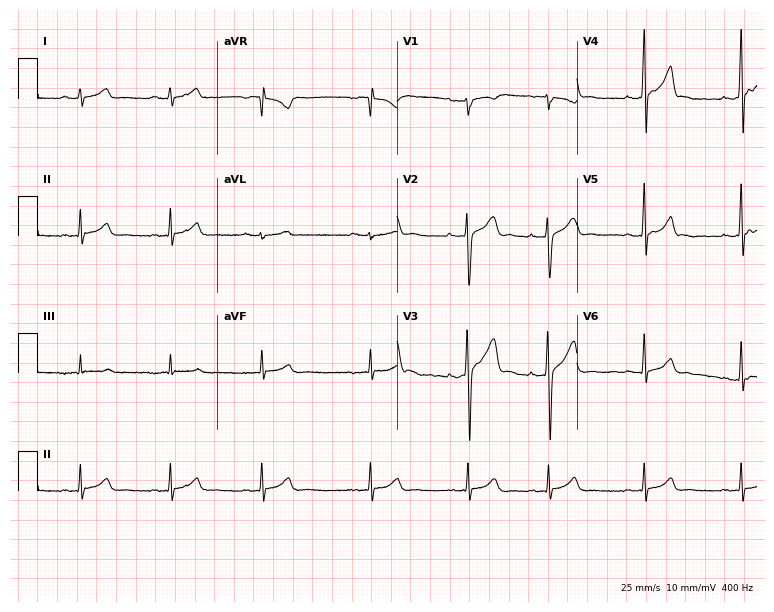
Electrocardiogram (7.3-second recording at 400 Hz), a 25-year-old male. Overall reading on record: normal ECG.